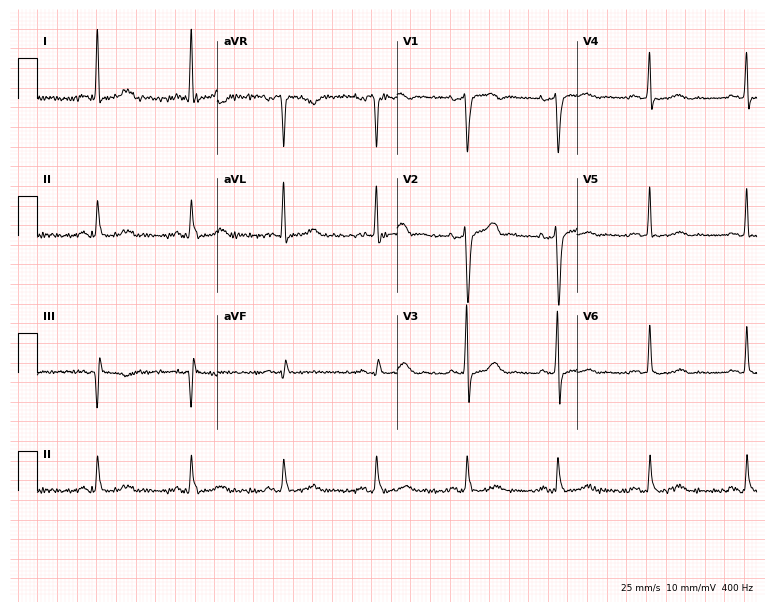
Standard 12-lead ECG recorded from a male patient, 73 years old (7.3-second recording at 400 Hz). Read as a normal ECG.